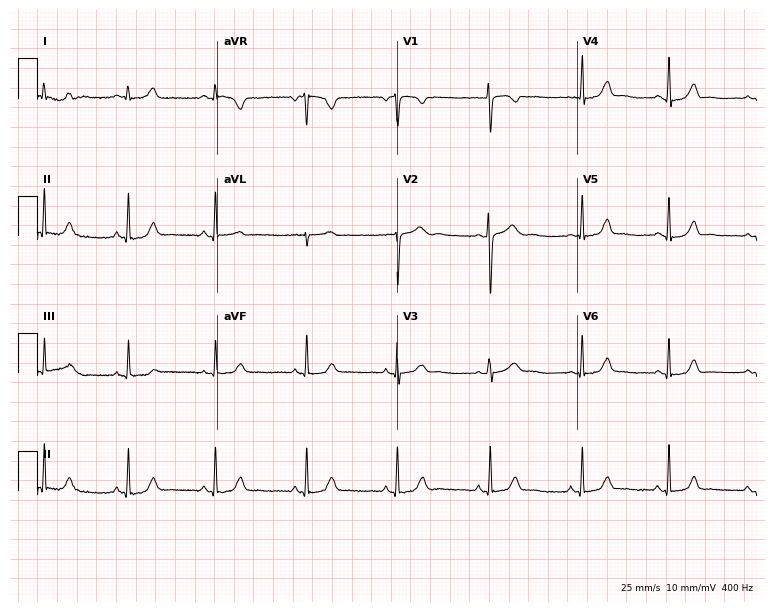
12-lead ECG from a 27-year-old woman (7.3-second recording at 400 Hz). Recorded interpretation: within normal limits.